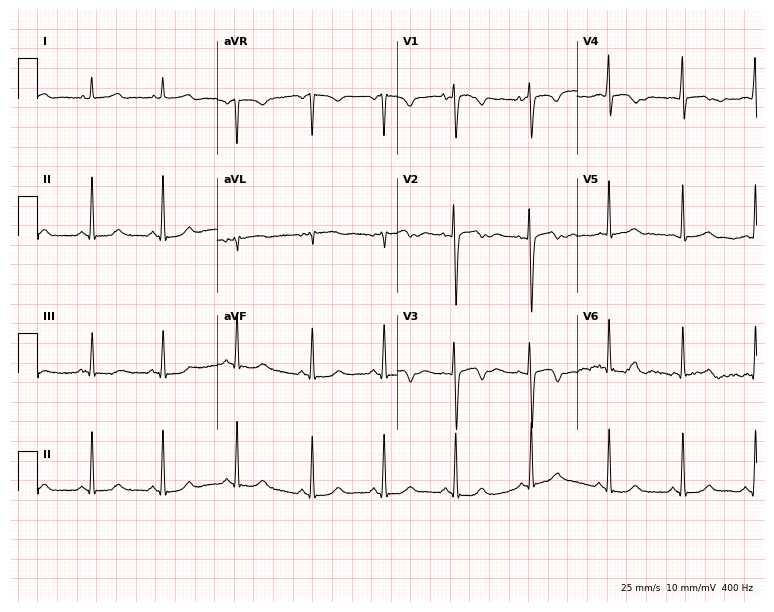
Resting 12-lead electrocardiogram. Patient: a 21-year-old woman. Read as a normal ECG.